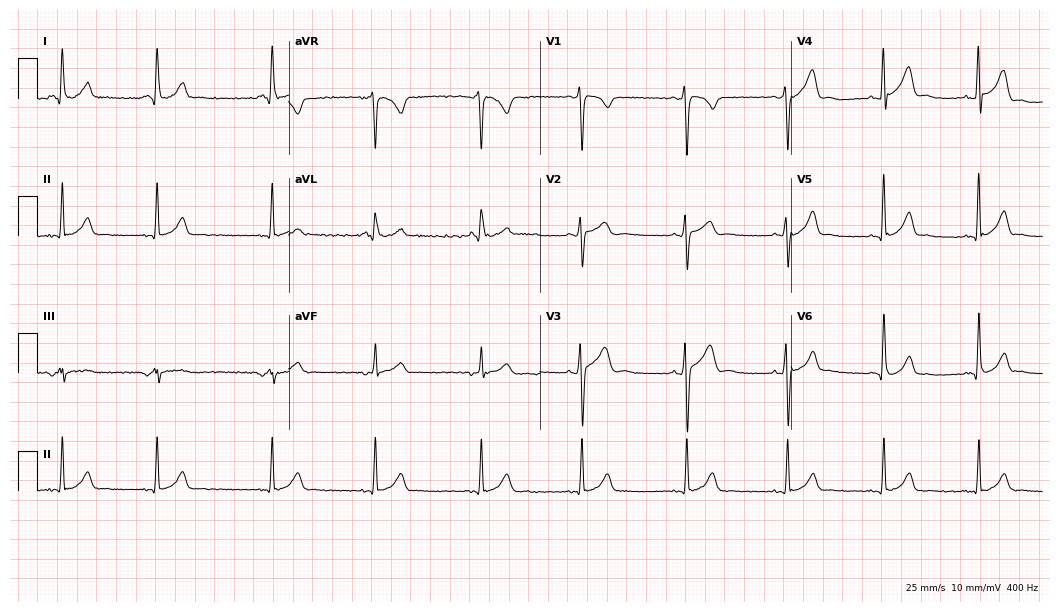
Resting 12-lead electrocardiogram. Patient: a 32-year-old male. None of these six findings is recorded: first-degree AV block, right bundle branch block, left bundle branch block, sinus bradycardia, atrial fibrillation, sinus tachycardia. Other findings, if any, are not listed.